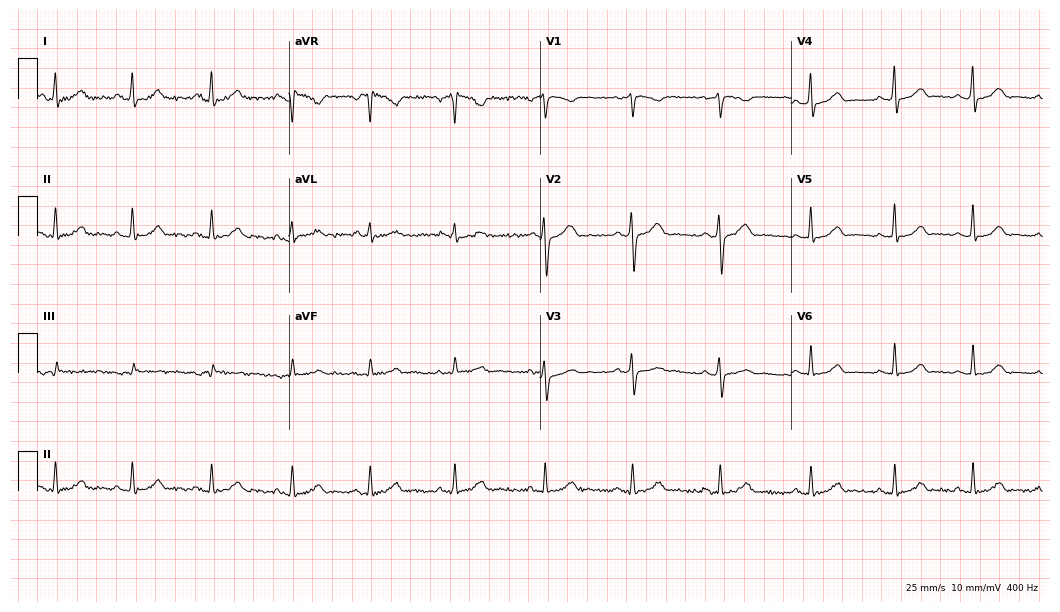
12-lead ECG (10.2-second recording at 400 Hz) from a woman, 32 years old. Labelled as a normal ECG.